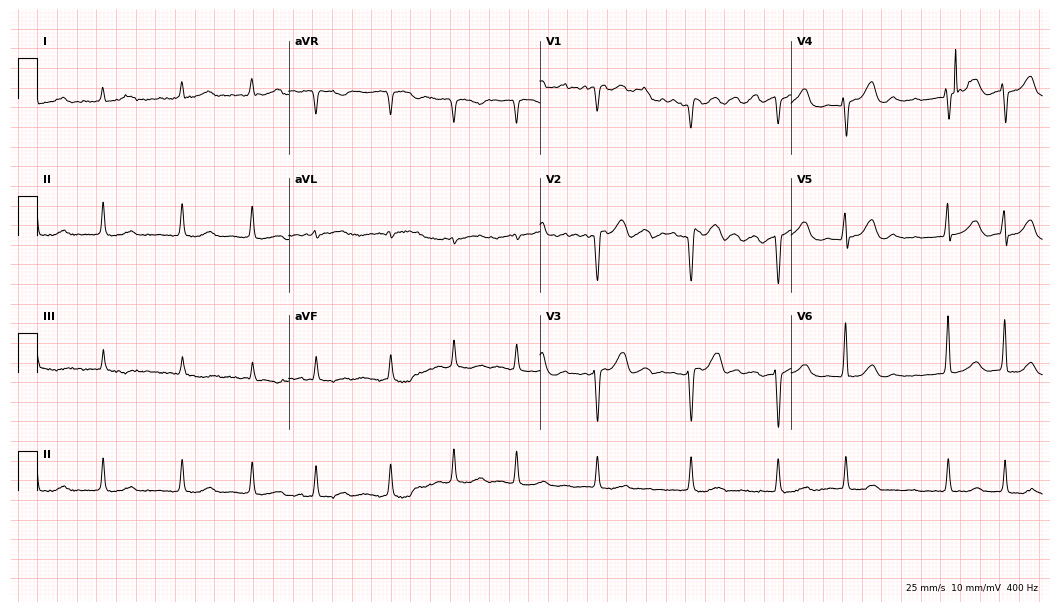
Electrocardiogram (10.2-second recording at 400 Hz), a woman, 72 years old. Interpretation includes atrial fibrillation (AF).